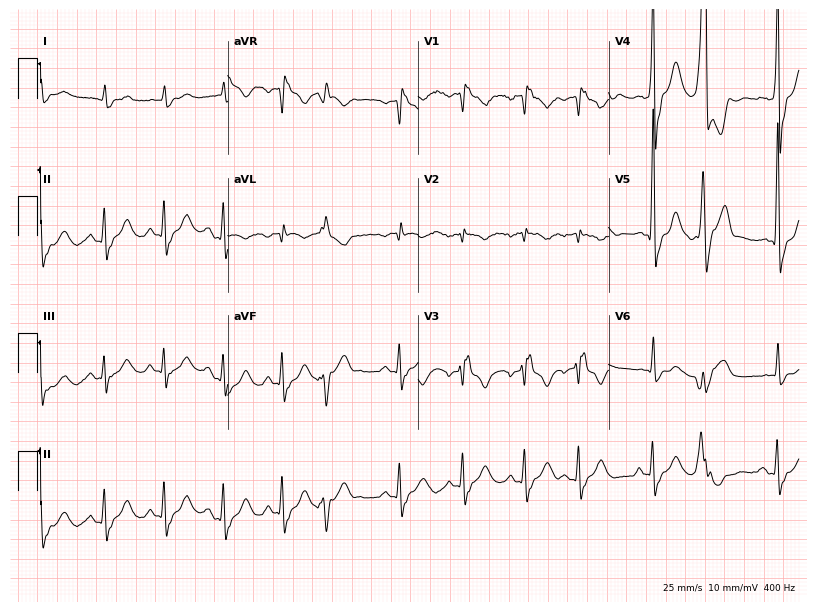
Standard 12-lead ECG recorded from a male patient, 76 years old (7.8-second recording at 400 Hz). The tracing shows right bundle branch block.